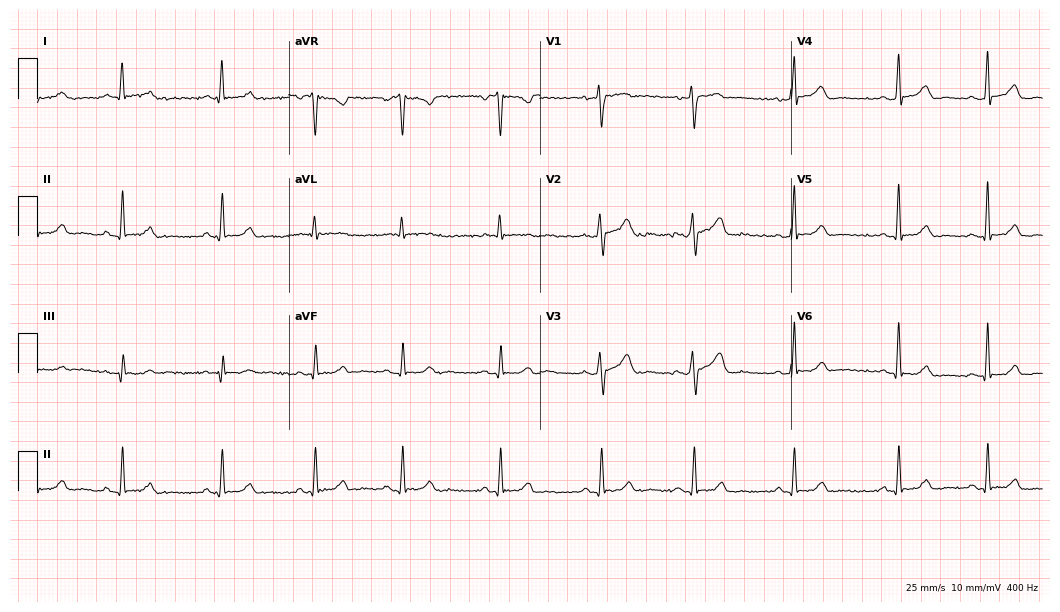
12-lead ECG from a 34-year-old female (10.2-second recording at 400 Hz). Recorded interpretation: within normal limits.